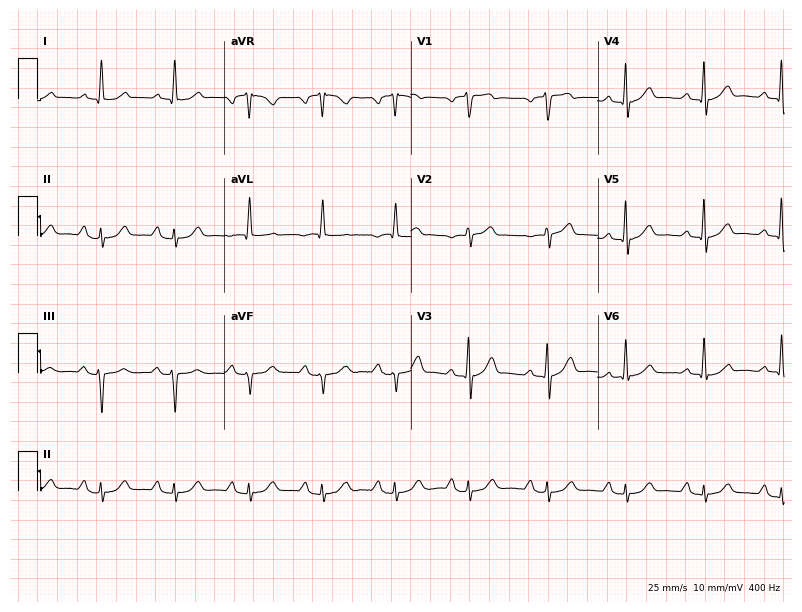
Electrocardiogram (7.6-second recording at 400 Hz), a 66-year-old male patient. Overall reading on record: normal ECG.